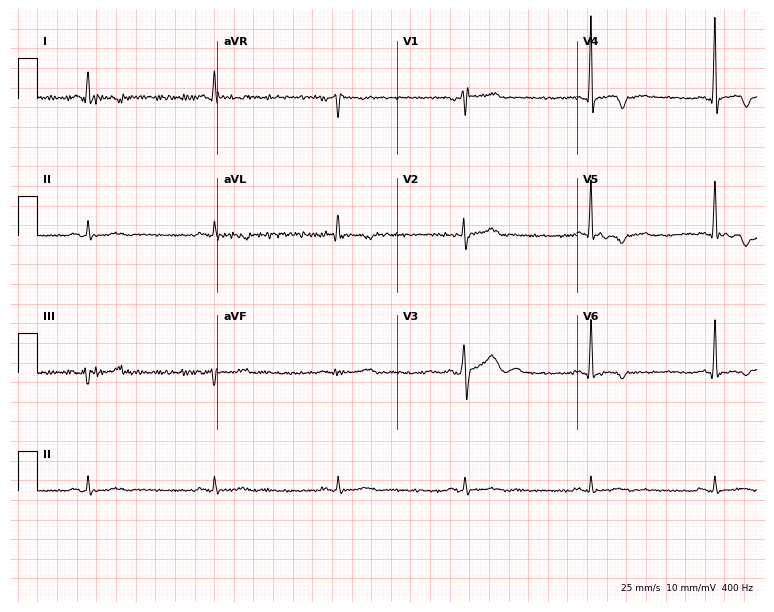
ECG (7.3-second recording at 400 Hz) — a 65-year-old male patient. Findings include sinus bradycardia (a sinus rate of 50 beats per minute or less).